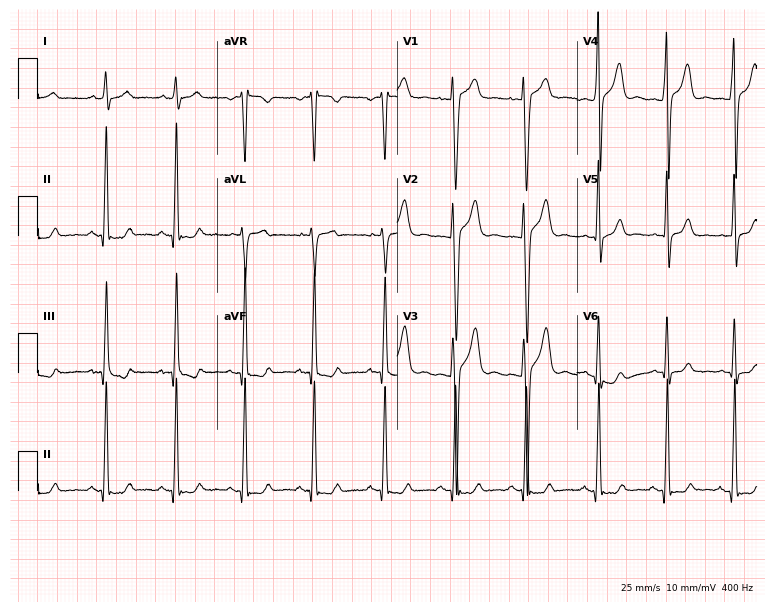
12-lead ECG (7.3-second recording at 400 Hz) from a 28-year-old man. Labelled as a normal ECG.